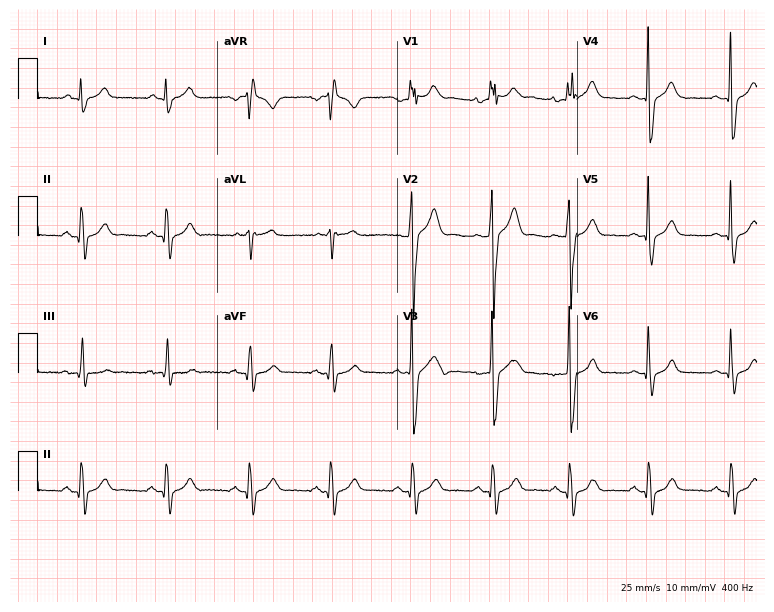
12-lead ECG from a 36-year-old woman. Screened for six findings — first-degree AV block, right bundle branch block, left bundle branch block, sinus bradycardia, atrial fibrillation, sinus tachycardia — none is recorded.